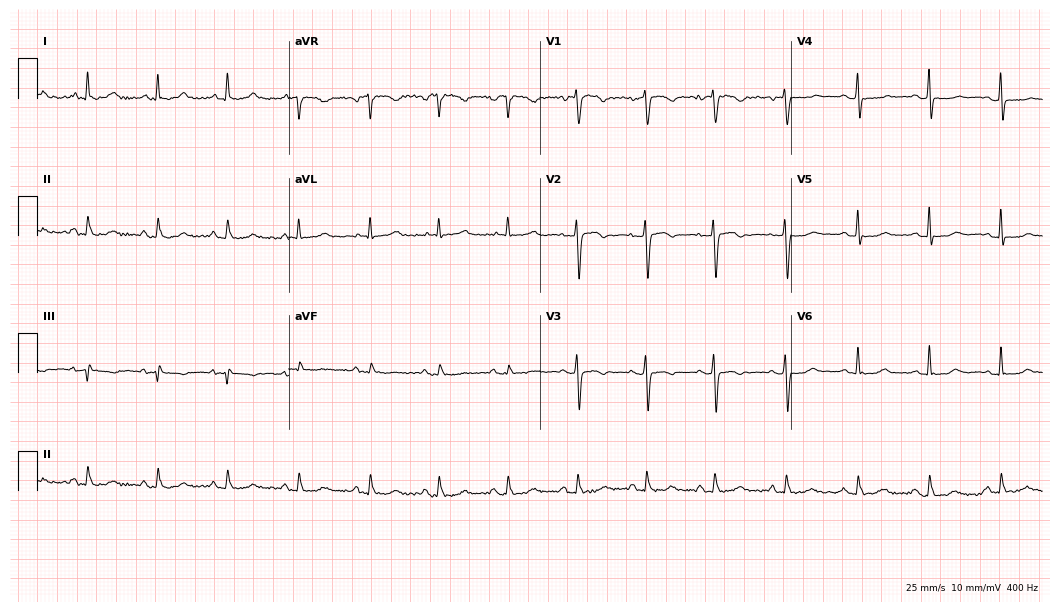
12-lead ECG from a female, 47 years old (10.2-second recording at 400 Hz). No first-degree AV block, right bundle branch block, left bundle branch block, sinus bradycardia, atrial fibrillation or sinus tachycardia recorded for this tracing.